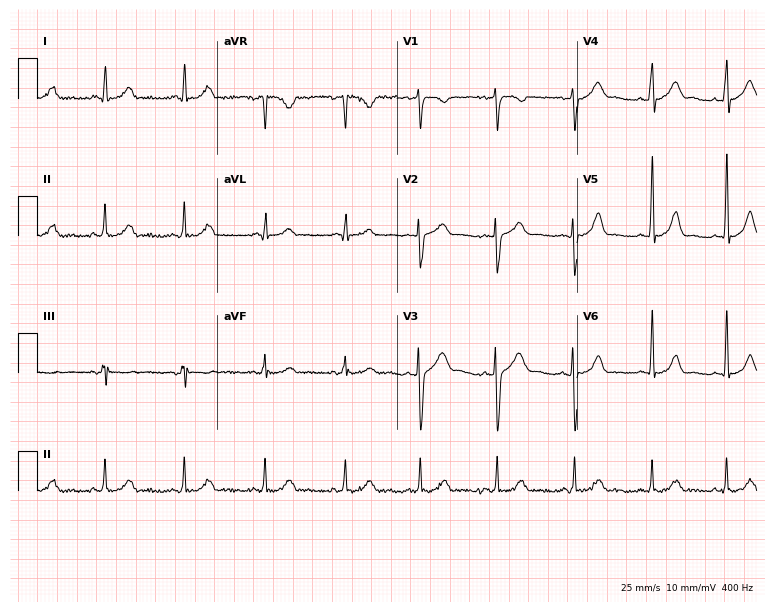
12-lead ECG from a woman, 28 years old (7.3-second recording at 400 Hz). No first-degree AV block, right bundle branch block (RBBB), left bundle branch block (LBBB), sinus bradycardia, atrial fibrillation (AF) or sinus tachycardia recorded for this tracing.